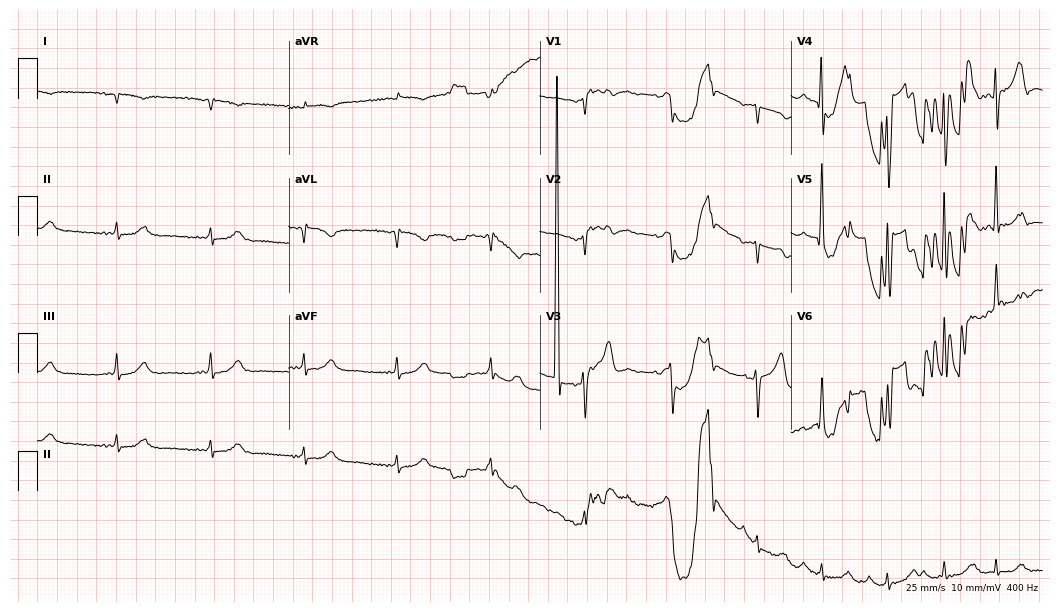
Electrocardiogram, a 74-year-old male patient. Of the six screened findings (first-degree AV block, right bundle branch block, left bundle branch block, sinus bradycardia, atrial fibrillation, sinus tachycardia), none is recorded.